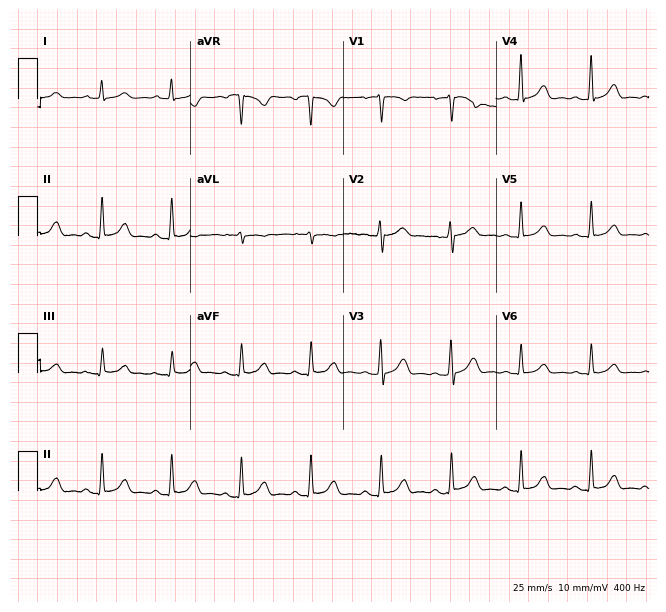
12-lead ECG from a 46-year-old male patient (6.2-second recording at 400 Hz). No first-degree AV block, right bundle branch block, left bundle branch block, sinus bradycardia, atrial fibrillation or sinus tachycardia recorded for this tracing. Other findings, if any, are not listed.